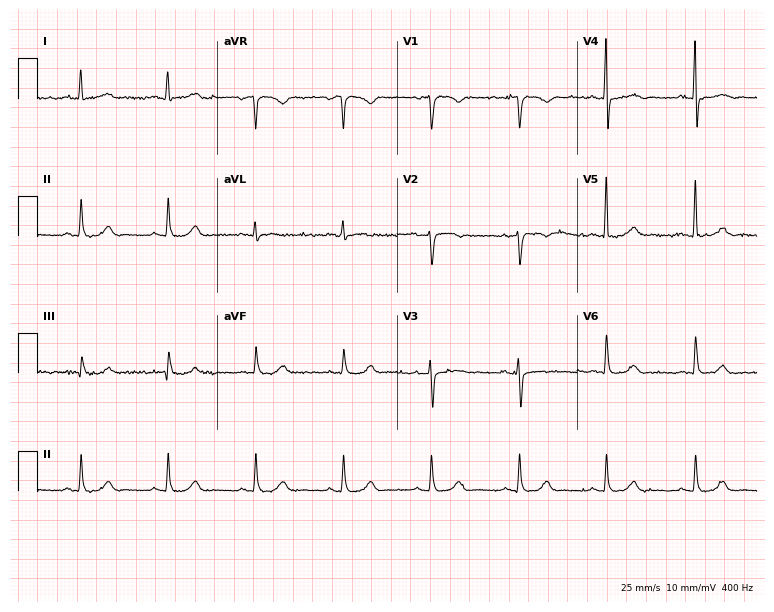
ECG (7.3-second recording at 400 Hz) — a 67-year-old woman. Labelled as a normal ECG.